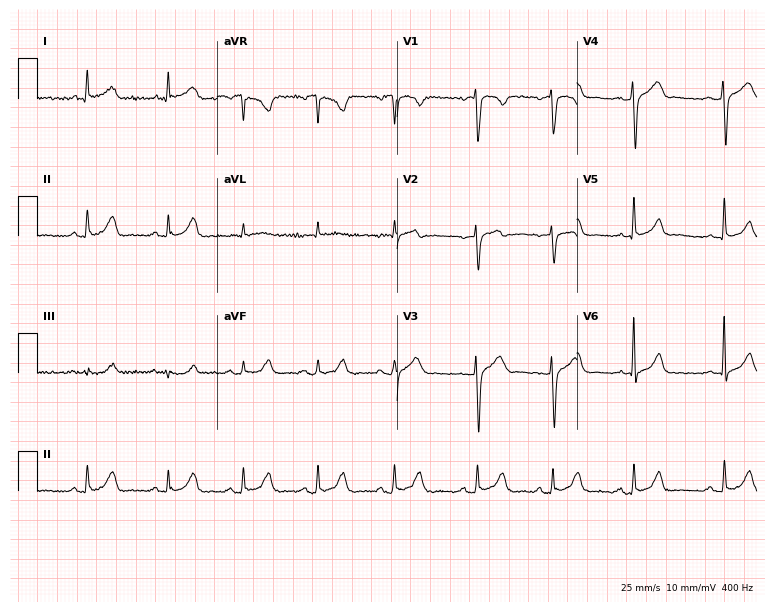
12-lead ECG (7.3-second recording at 400 Hz) from a 36-year-old male. Labelled as a normal ECG.